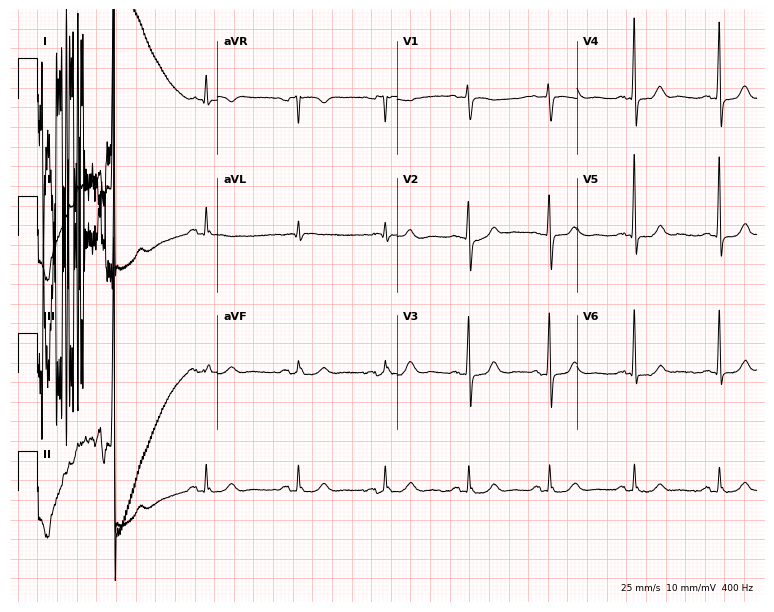
Electrocardiogram (7.3-second recording at 400 Hz), a male patient, 72 years old. Overall reading on record: normal ECG.